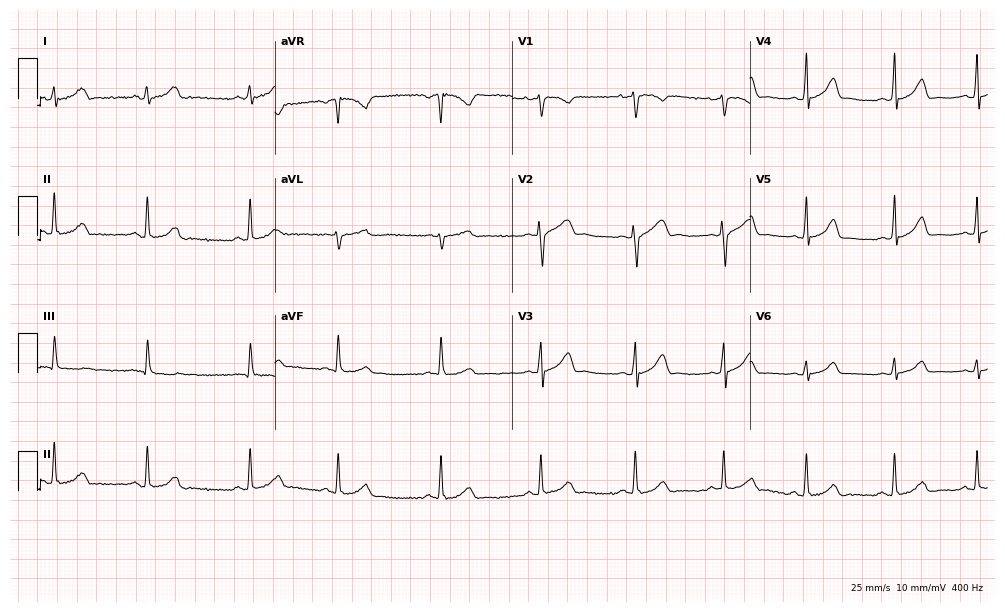
12-lead ECG from a 27-year-old female. Labelled as a normal ECG.